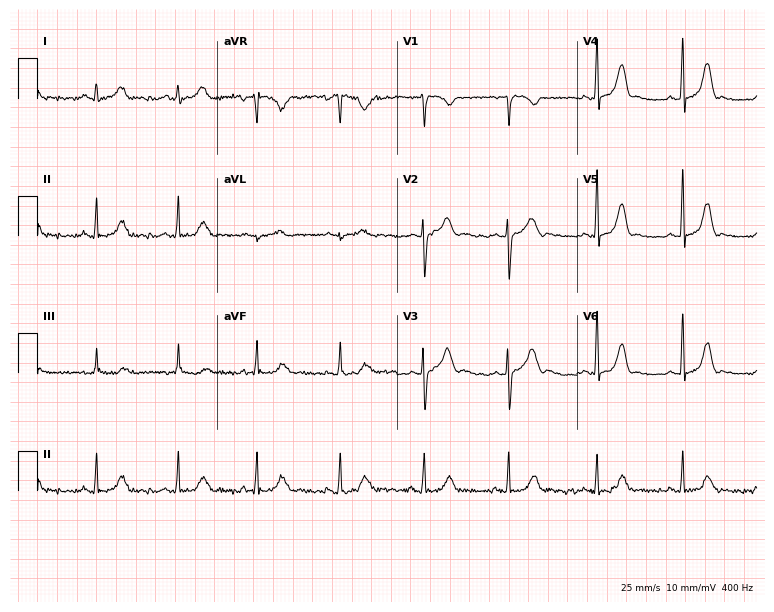
Electrocardiogram (7.3-second recording at 400 Hz), a 23-year-old woman. Of the six screened findings (first-degree AV block, right bundle branch block, left bundle branch block, sinus bradycardia, atrial fibrillation, sinus tachycardia), none is recorded. Only these six findings were labelled.